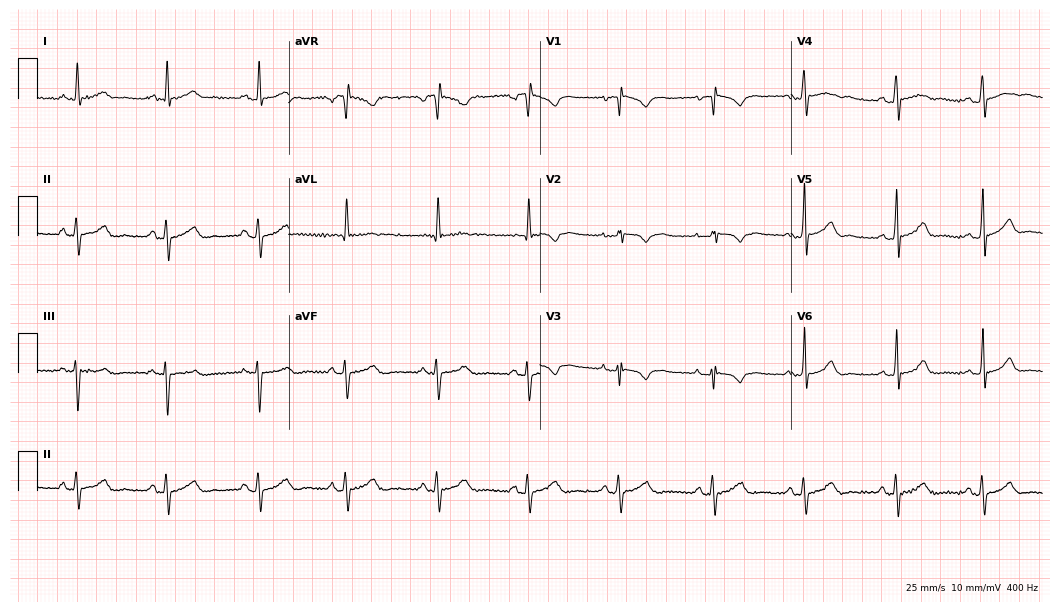
12-lead ECG from a female patient, 20 years old. Labelled as a normal ECG.